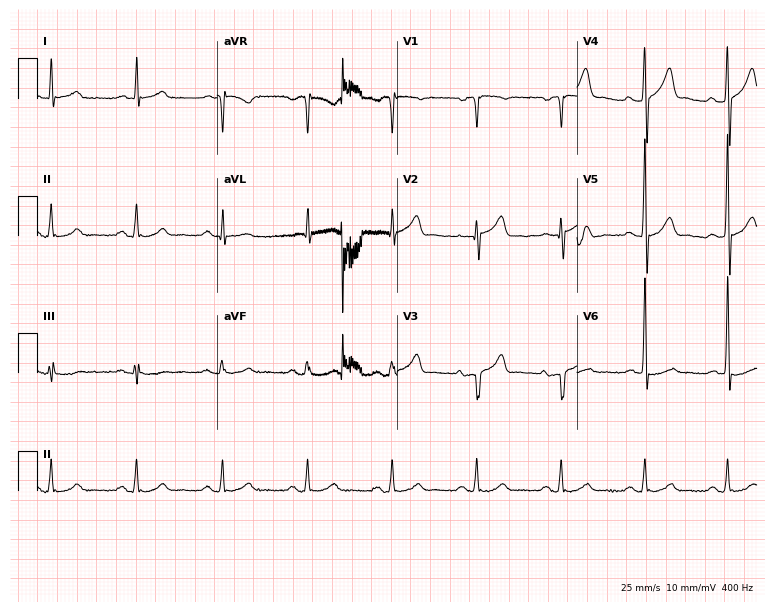
ECG (7.3-second recording at 400 Hz) — a 73-year-old male patient. Labelled as a normal ECG.